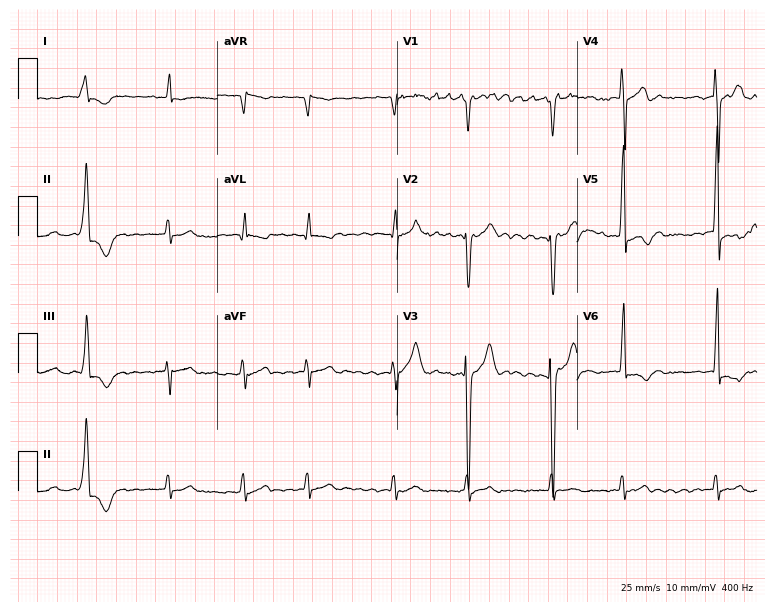
ECG (7.3-second recording at 400 Hz) — an 82-year-old male. Findings include atrial fibrillation.